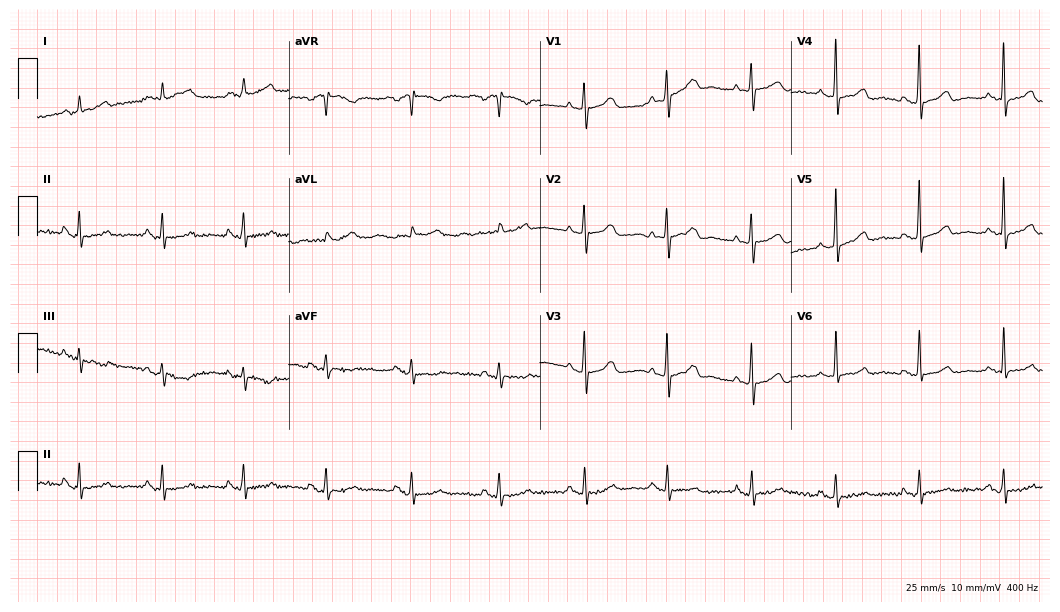
Resting 12-lead electrocardiogram (10.2-second recording at 400 Hz). Patient: a female, 79 years old. None of these six findings is recorded: first-degree AV block, right bundle branch block, left bundle branch block, sinus bradycardia, atrial fibrillation, sinus tachycardia.